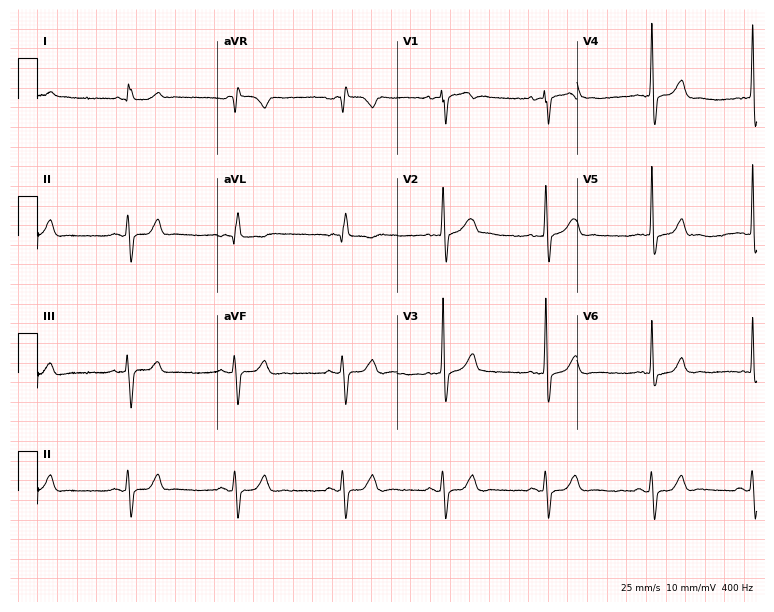
12-lead ECG from a male patient, 73 years old. No first-degree AV block, right bundle branch block, left bundle branch block, sinus bradycardia, atrial fibrillation or sinus tachycardia recorded for this tracing. Only these six findings were labelled.